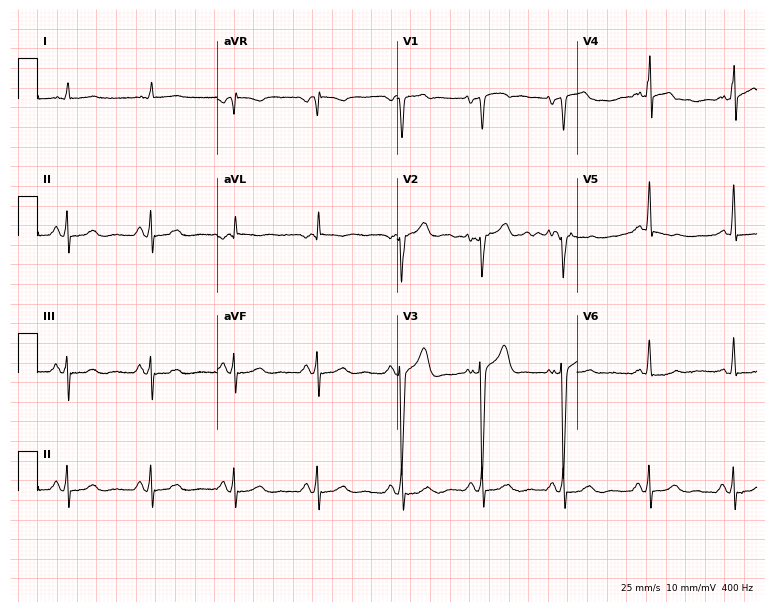
Resting 12-lead electrocardiogram (7.3-second recording at 400 Hz). Patient: a 66-year-old male. None of these six findings is recorded: first-degree AV block, right bundle branch block, left bundle branch block, sinus bradycardia, atrial fibrillation, sinus tachycardia.